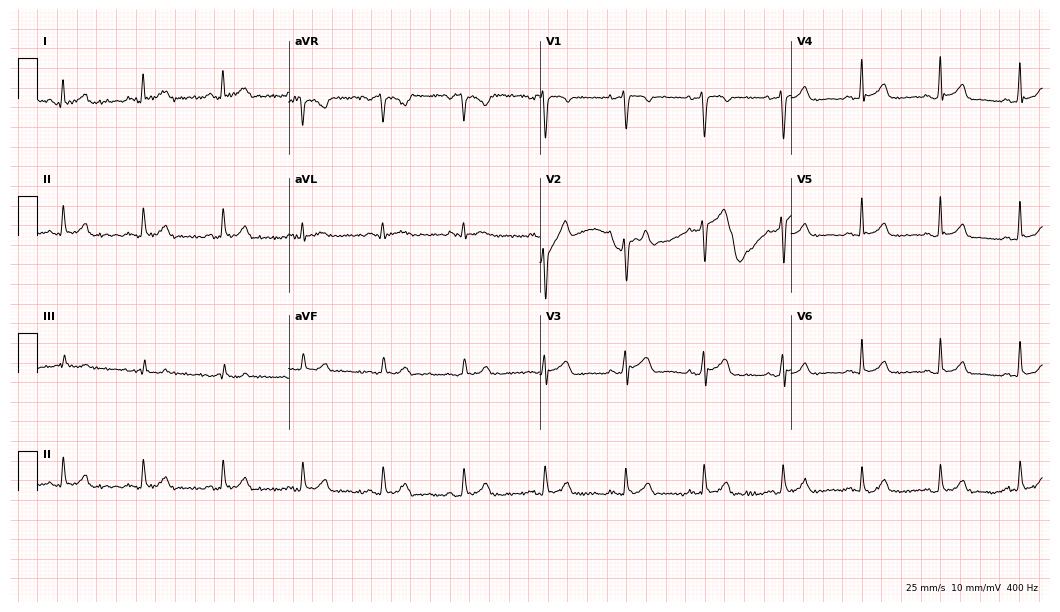
Standard 12-lead ECG recorded from a male, 45 years old. Read as a normal ECG.